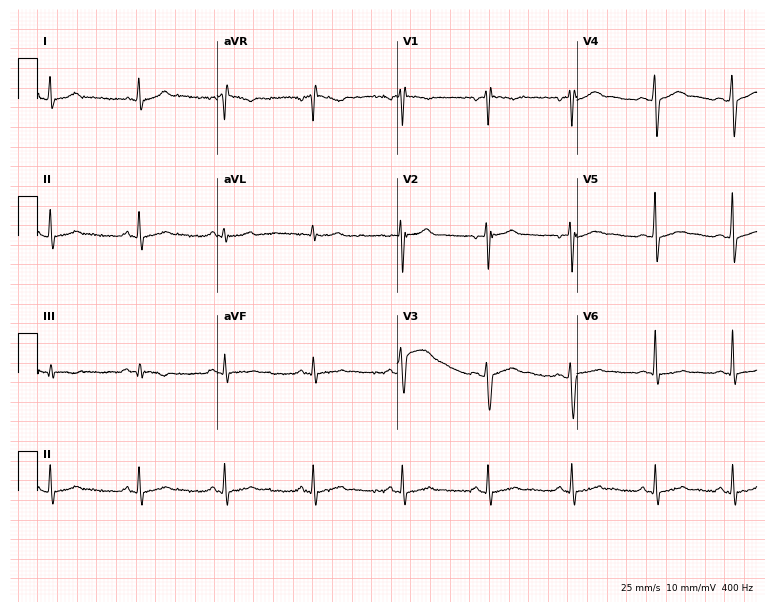
Standard 12-lead ECG recorded from a 26-year-old man. Read as a normal ECG.